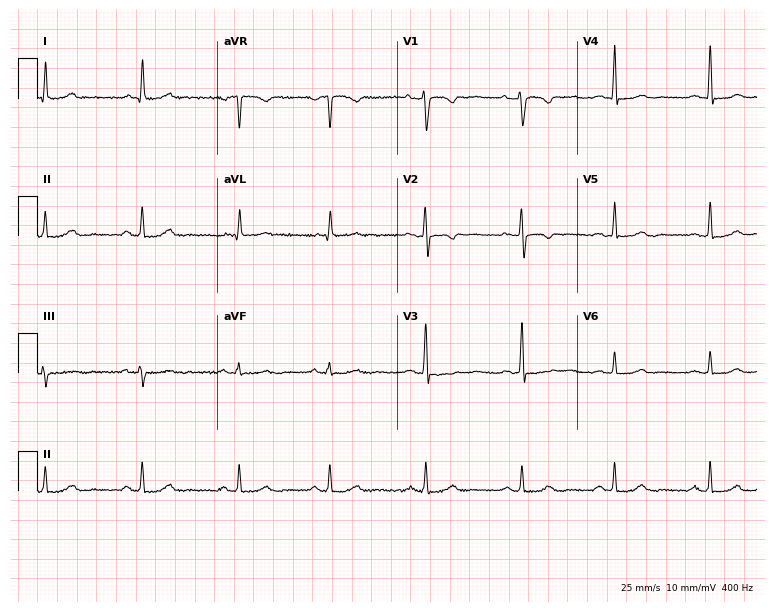
Resting 12-lead electrocardiogram (7.3-second recording at 400 Hz). Patient: a 41-year-old female. None of these six findings is recorded: first-degree AV block, right bundle branch block, left bundle branch block, sinus bradycardia, atrial fibrillation, sinus tachycardia. Other findings, if any, are not listed.